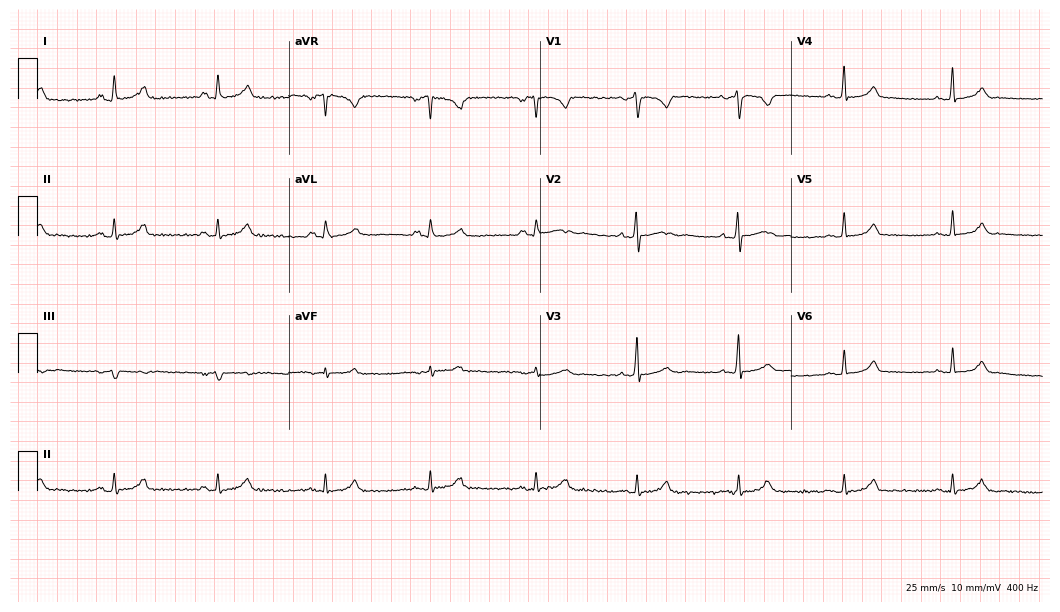
ECG — a 28-year-old female patient. Labelled as a normal ECG.